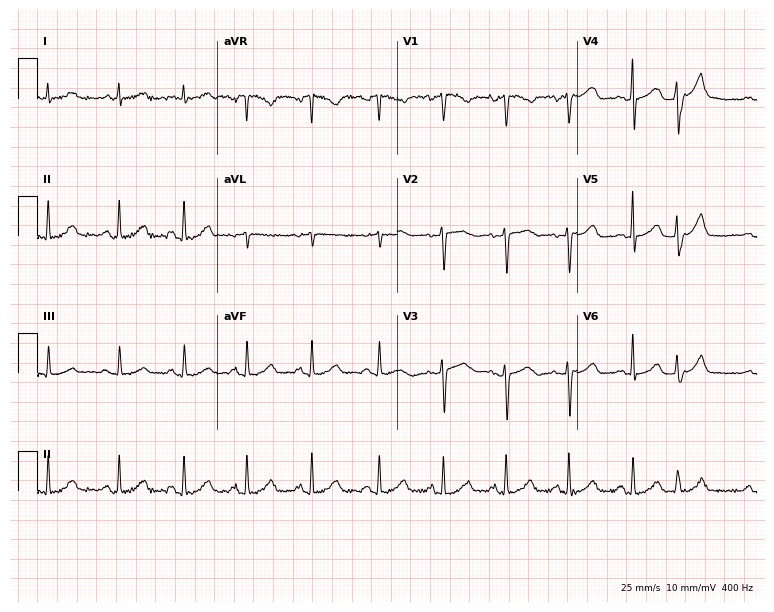
Standard 12-lead ECG recorded from a 43-year-old female (7.3-second recording at 400 Hz). None of these six findings is recorded: first-degree AV block, right bundle branch block (RBBB), left bundle branch block (LBBB), sinus bradycardia, atrial fibrillation (AF), sinus tachycardia.